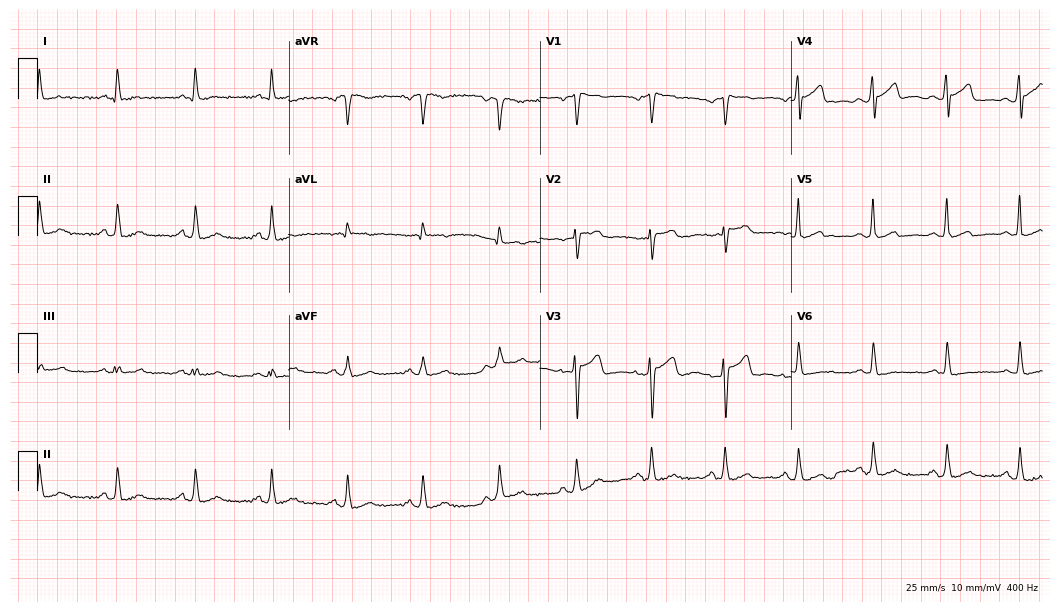
12-lead ECG from a 54-year-old male patient. Labelled as a normal ECG.